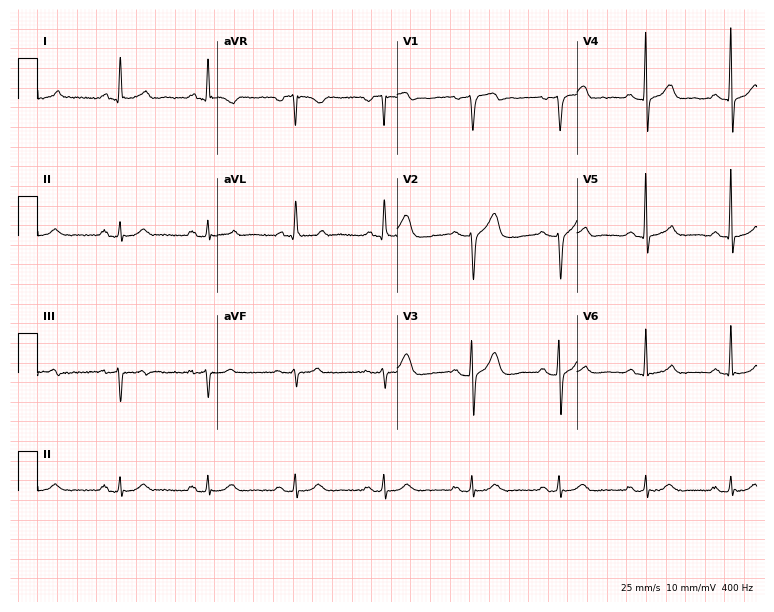
Electrocardiogram (7.3-second recording at 400 Hz), a male patient, 61 years old. Overall reading on record: normal ECG.